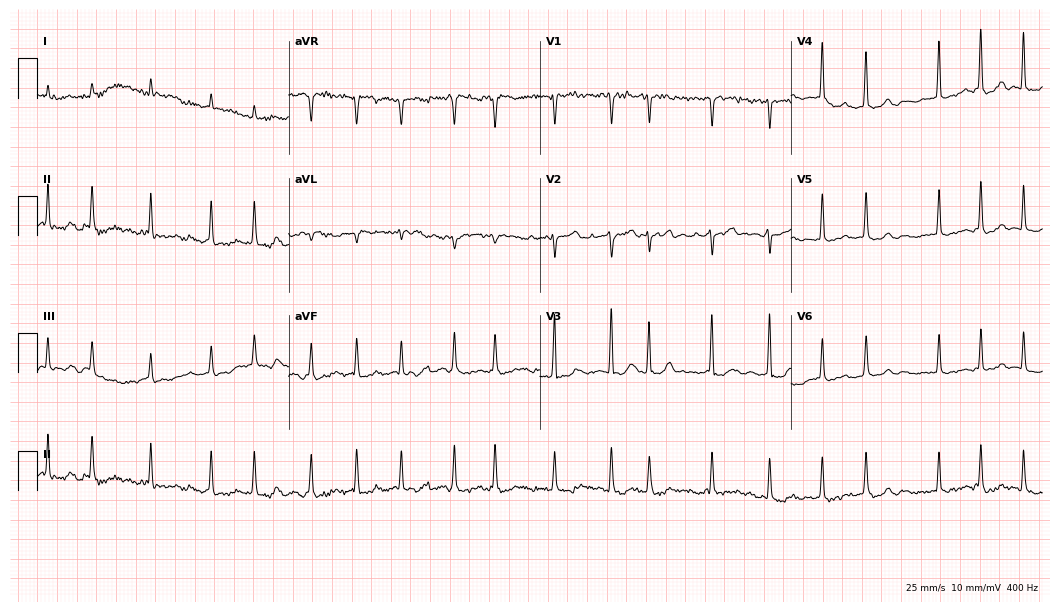
12-lead ECG (10.2-second recording at 400 Hz) from an 83-year-old female patient. Screened for six findings — first-degree AV block, right bundle branch block, left bundle branch block, sinus bradycardia, atrial fibrillation, sinus tachycardia — none is recorded. Findings outside these six are not listed.